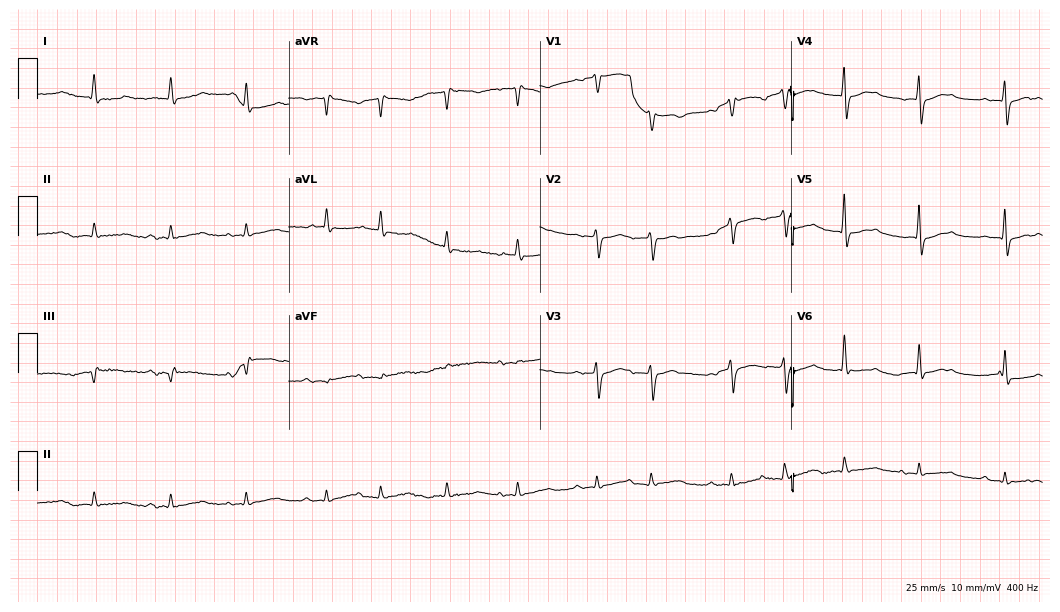
12-lead ECG from an 85-year-old woman (10.2-second recording at 400 Hz). No first-degree AV block, right bundle branch block, left bundle branch block, sinus bradycardia, atrial fibrillation or sinus tachycardia recorded for this tracing. Only these six findings were labelled.